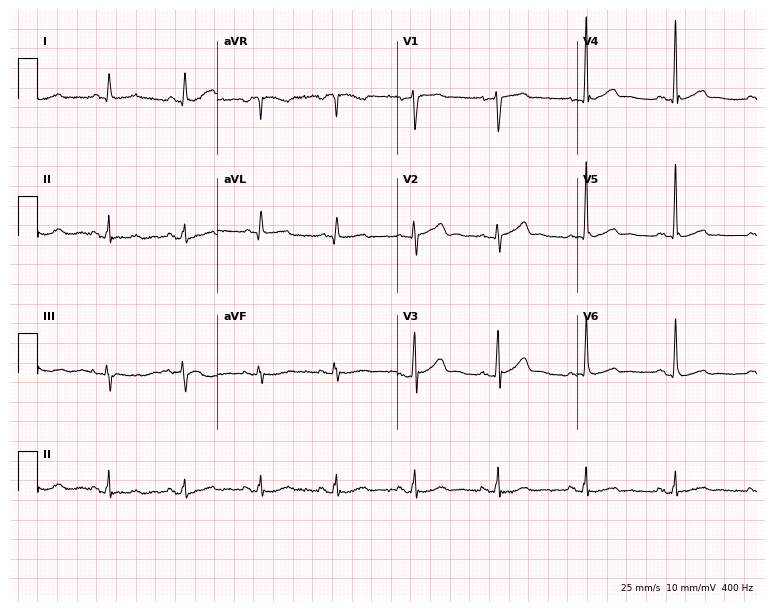
Electrocardiogram, a man, 54 years old. Of the six screened findings (first-degree AV block, right bundle branch block, left bundle branch block, sinus bradycardia, atrial fibrillation, sinus tachycardia), none is recorded. Findings outside these six are not listed.